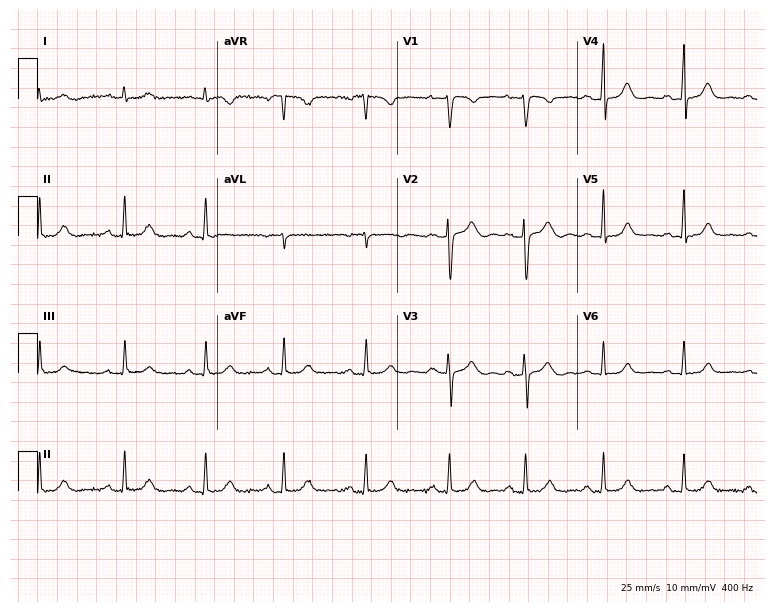
Electrocardiogram (7.3-second recording at 400 Hz), a 32-year-old female. Overall reading on record: normal ECG.